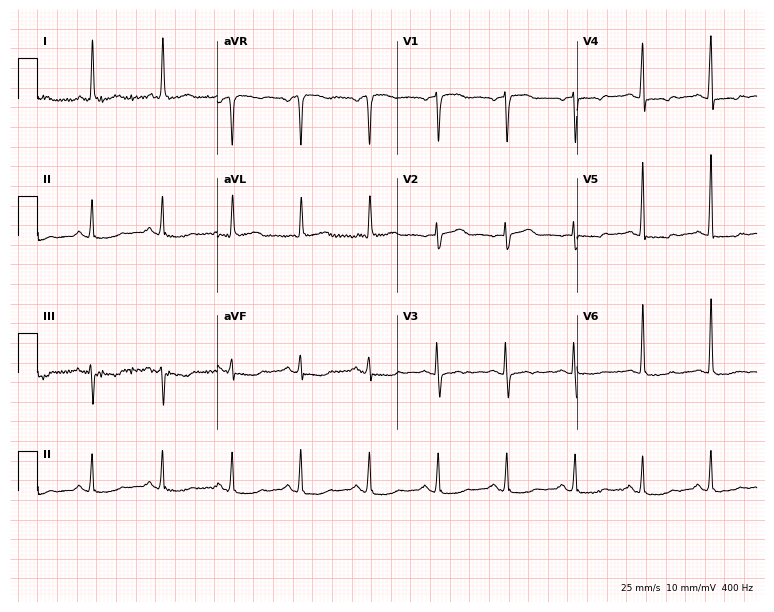
Electrocardiogram, a female, 72 years old. Of the six screened findings (first-degree AV block, right bundle branch block (RBBB), left bundle branch block (LBBB), sinus bradycardia, atrial fibrillation (AF), sinus tachycardia), none is recorded.